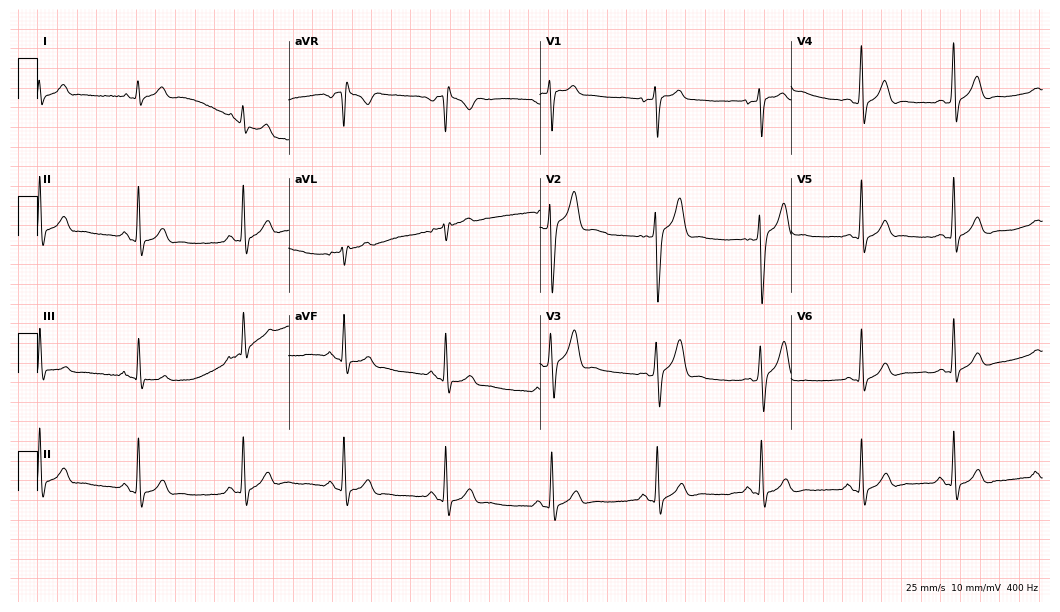
Electrocardiogram, a 34-year-old male patient. Of the six screened findings (first-degree AV block, right bundle branch block (RBBB), left bundle branch block (LBBB), sinus bradycardia, atrial fibrillation (AF), sinus tachycardia), none is recorded.